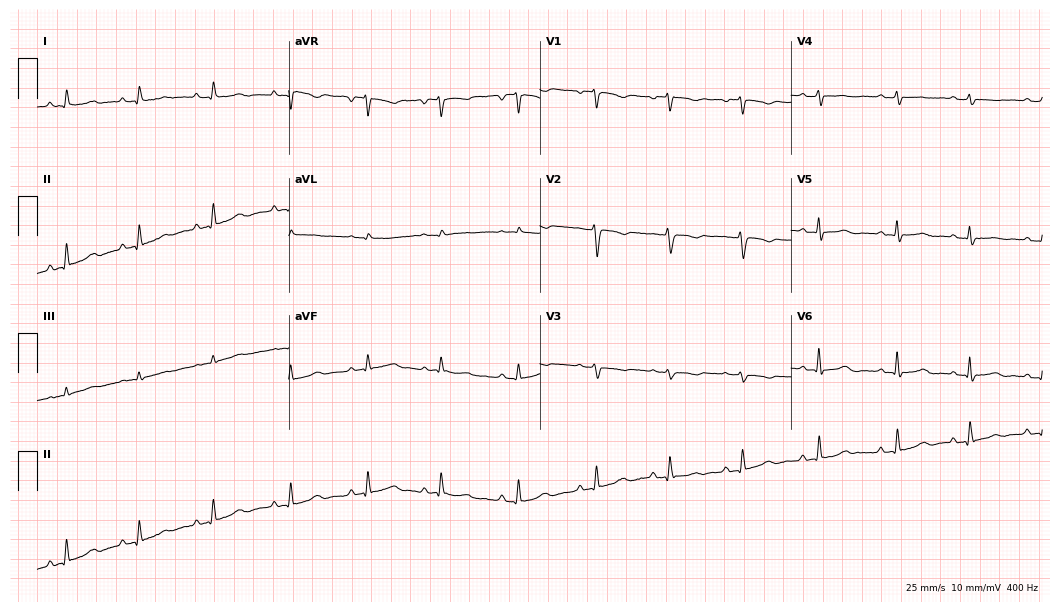
12-lead ECG (10.2-second recording at 400 Hz) from a 46-year-old female patient. Screened for six findings — first-degree AV block, right bundle branch block, left bundle branch block, sinus bradycardia, atrial fibrillation, sinus tachycardia — none is recorded.